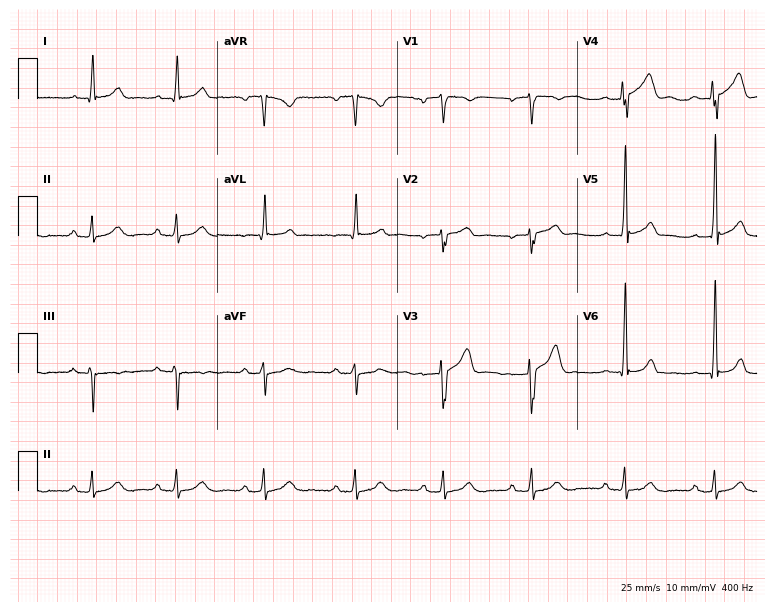
ECG (7.3-second recording at 400 Hz) — a man, 56 years old. Screened for six findings — first-degree AV block, right bundle branch block, left bundle branch block, sinus bradycardia, atrial fibrillation, sinus tachycardia — none is recorded. Findings outside these six are not listed.